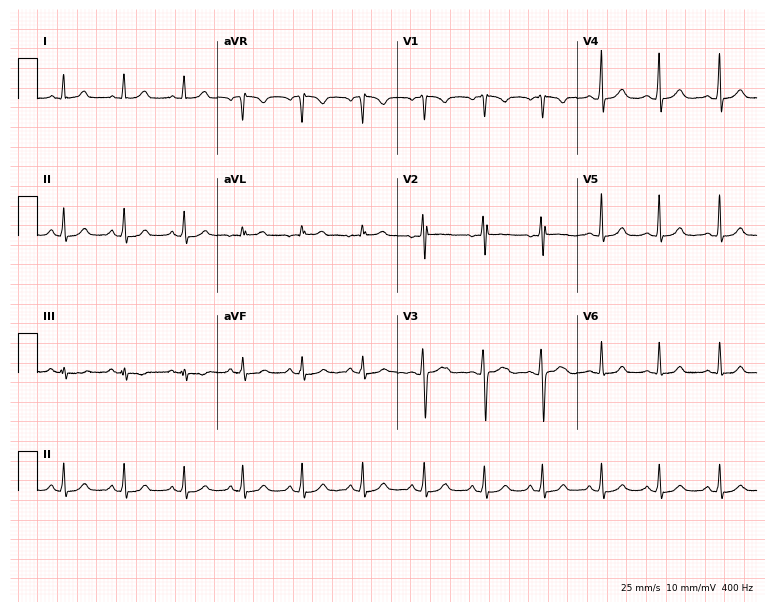
ECG (7.3-second recording at 400 Hz) — a woman, 33 years old. Labelled as a normal ECG.